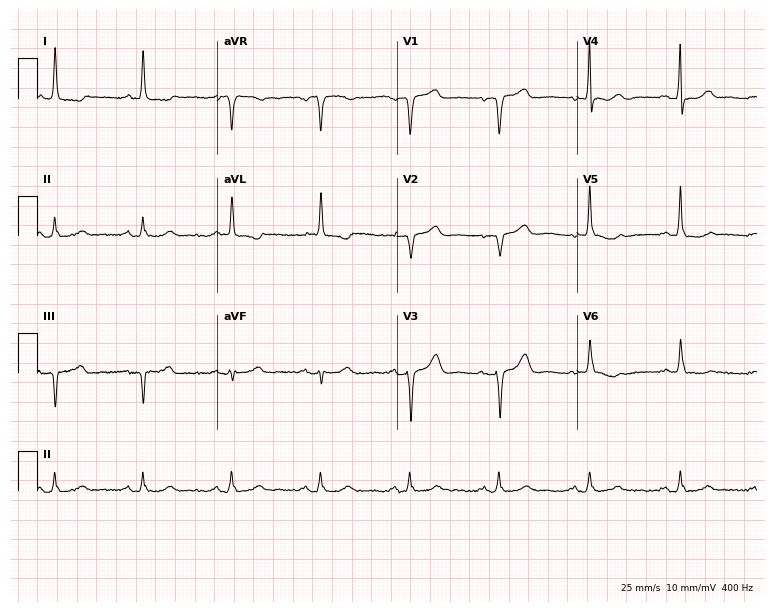
12-lead ECG from a woman, 74 years old. Recorded interpretation: within normal limits.